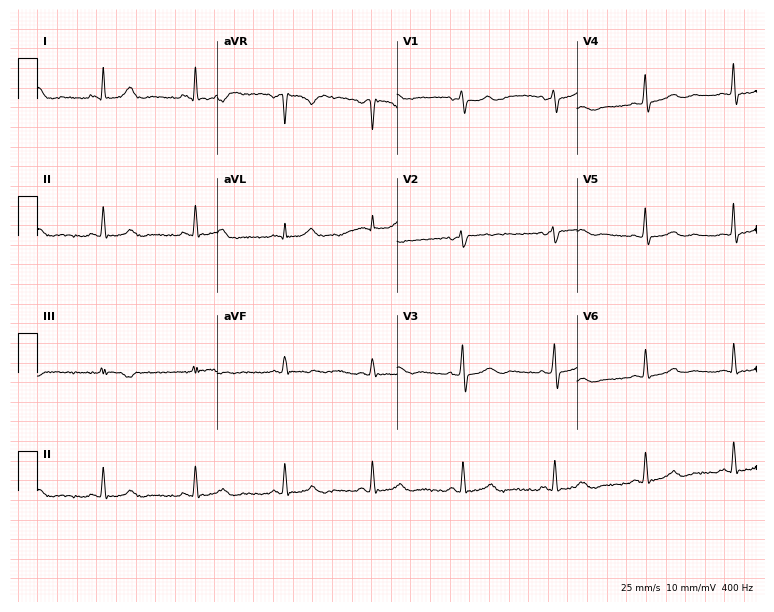
12-lead ECG (7.3-second recording at 400 Hz) from a 50-year-old female patient. Screened for six findings — first-degree AV block, right bundle branch block (RBBB), left bundle branch block (LBBB), sinus bradycardia, atrial fibrillation (AF), sinus tachycardia — none is recorded. Other findings, if any, are not listed.